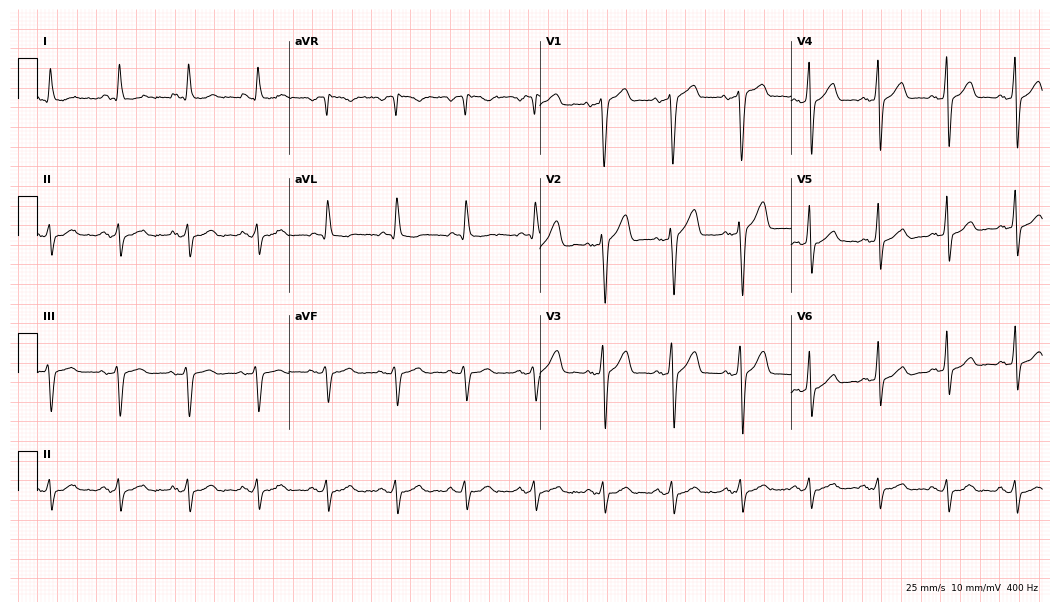
Standard 12-lead ECG recorded from a 76-year-old male patient. None of these six findings is recorded: first-degree AV block, right bundle branch block, left bundle branch block, sinus bradycardia, atrial fibrillation, sinus tachycardia.